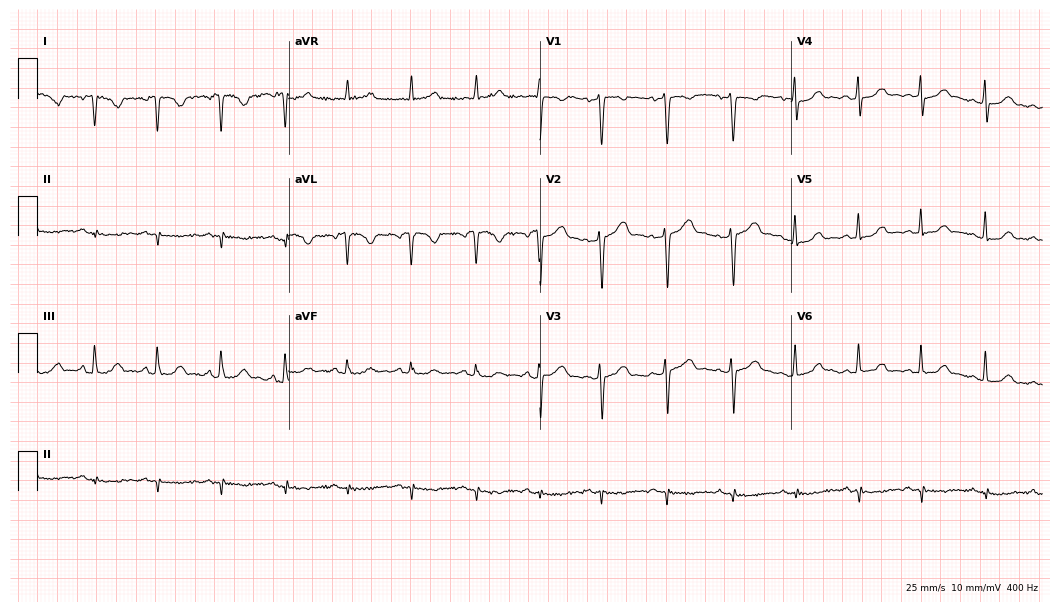
Standard 12-lead ECG recorded from a female patient, 45 years old (10.2-second recording at 400 Hz). None of these six findings is recorded: first-degree AV block, right bundle branch block, left bundle branch block, sinus bradycardia, atrial fibrillation, sinus tachycardia.